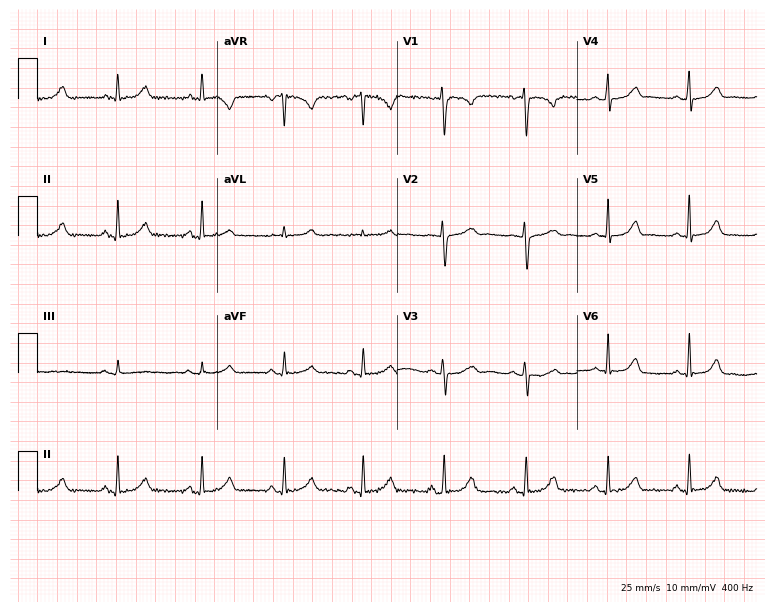
12-lead ECG from a female patient, 41 years old. Recorded interpretation: within normal limits.